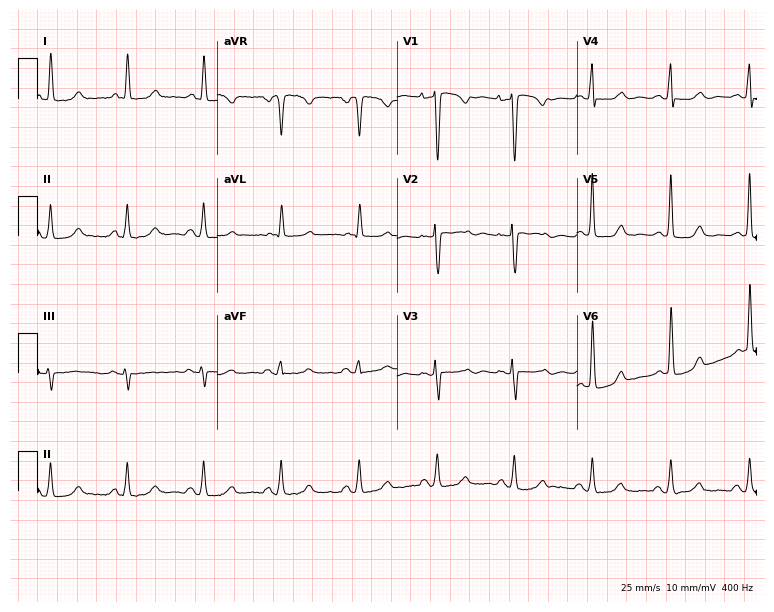
Standard 12-lead ECG recorded from a woman, 60 years old. None of these six findings is recorded: first-degree AV block, right bundle branch block (RBBB), left bundle branch block (LBBB), sinus bradycardia, atrial fibrillation (AF), sinus tachycardia.